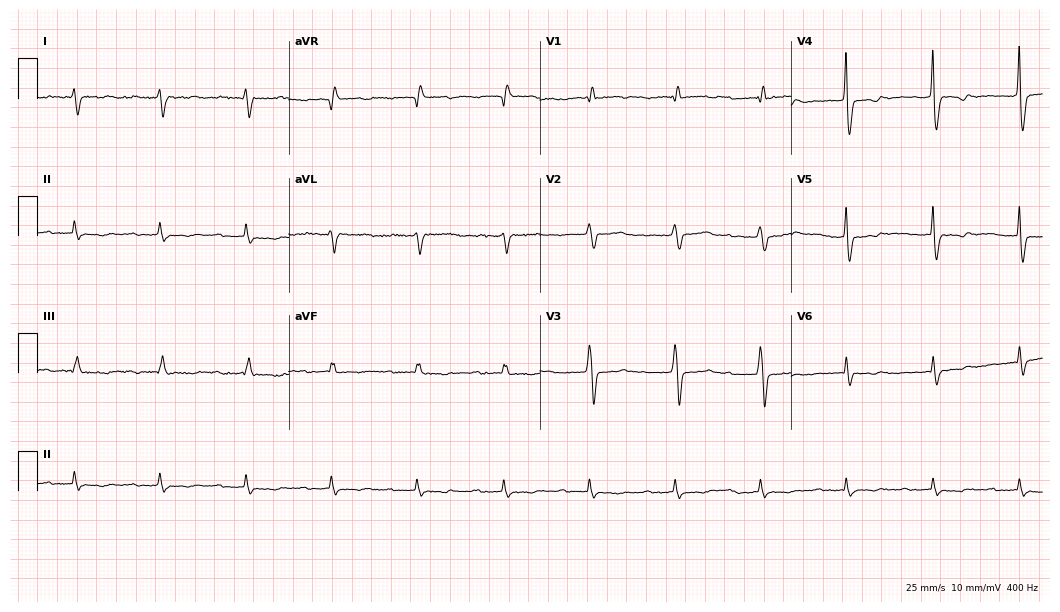
12-lead ECG (10.2-second recording at 400 Hz) from a 46-year-old female. Screened for six findings — first-degree AV block, right bundle branch block, left bundle branch block, sinus bradycardia, atrial fibrillation, sinus tachycardia — none is recorded. Only these six findings were labelled.